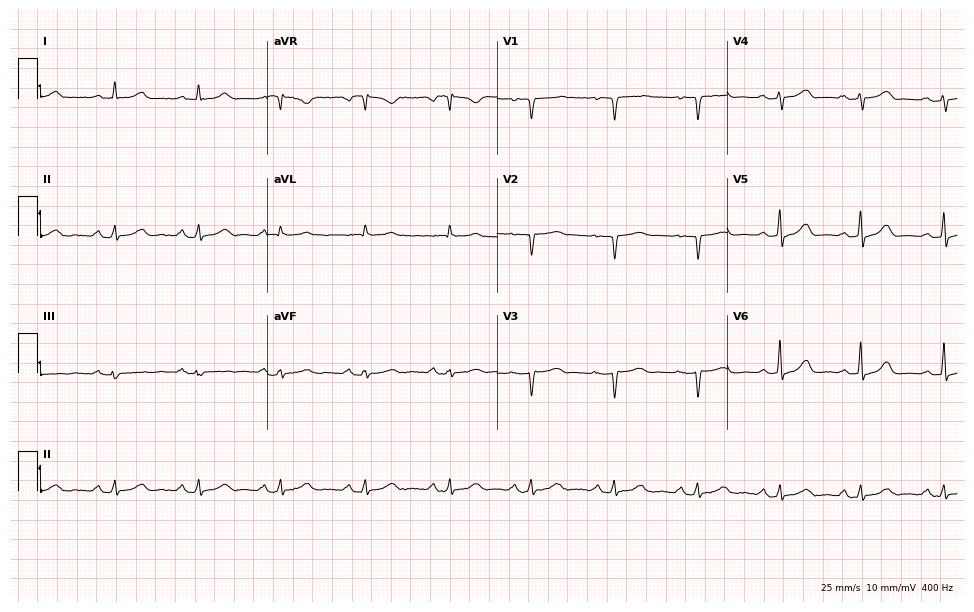
Resting 12-lead electrocardiogram (9.4-second recording at 400 Hz). Patient: a woman, 47 years old. None of these six findings is recorded: first-degree AV block, right bundle branch block, left bundle branch block, sinus bradycardia, atrial fibrillation, sinus tachycardia. Findings outside these six are not listed.